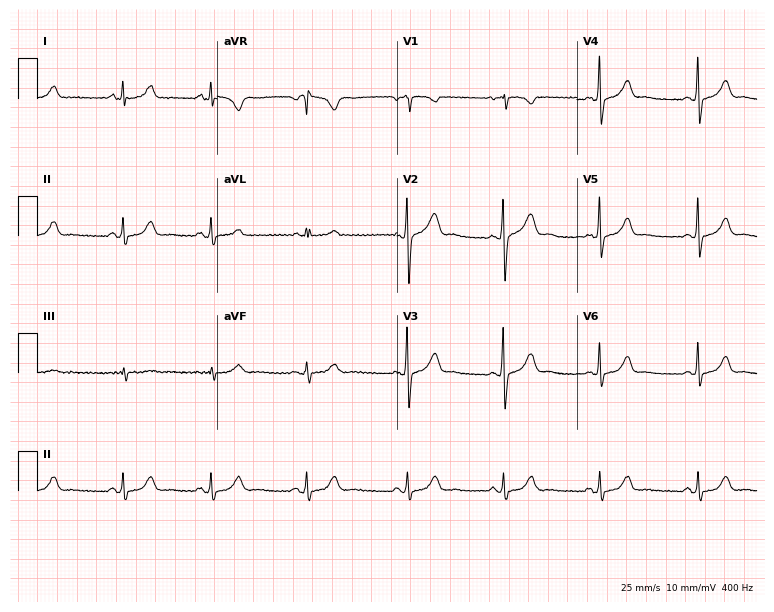
Electrocardiogram, a woman, 19 years old. Overall reading on record: normal ECG.